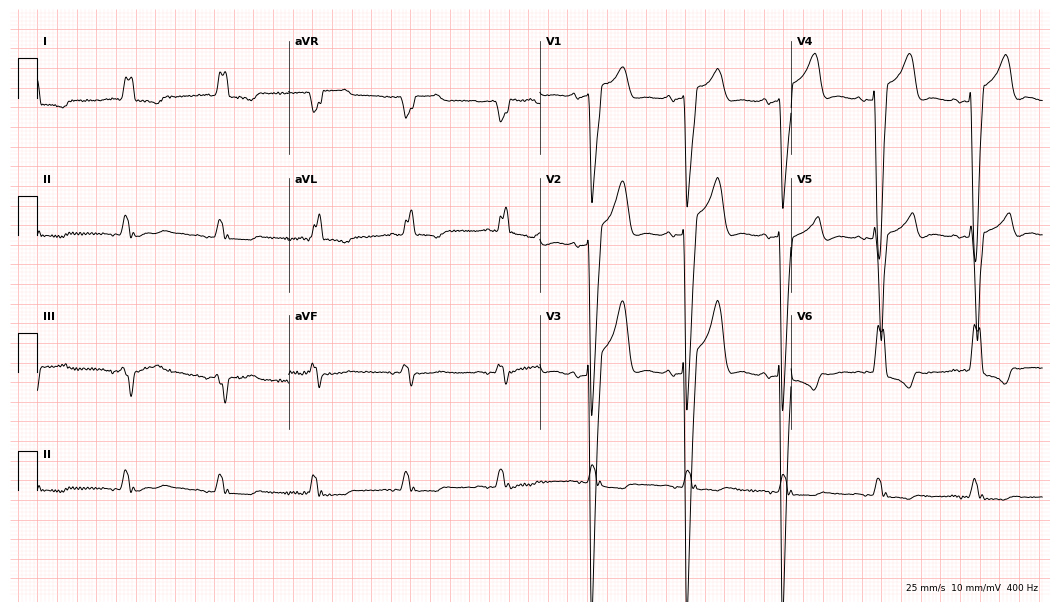
Resting 12-lead electrocardiogram (10.2-second recording at 400 Hz). Patient: a male, 80 years old. The tracing shows left bundle branch block.